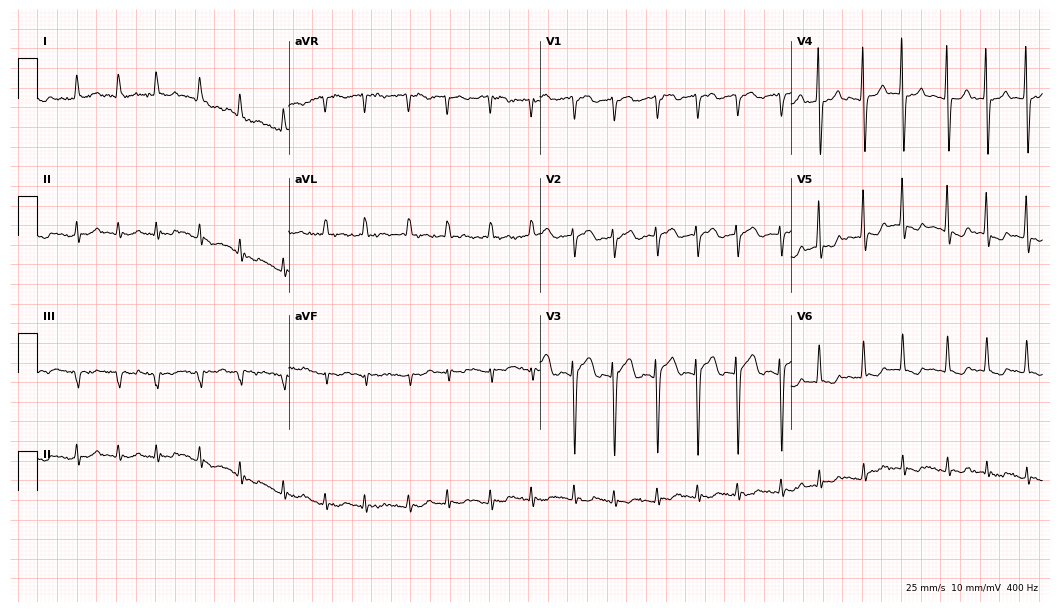
12-lead ECG (10.2-second recording at 400 Hz) from a male patient, 85 years old. Findings include atrial fibrillation.